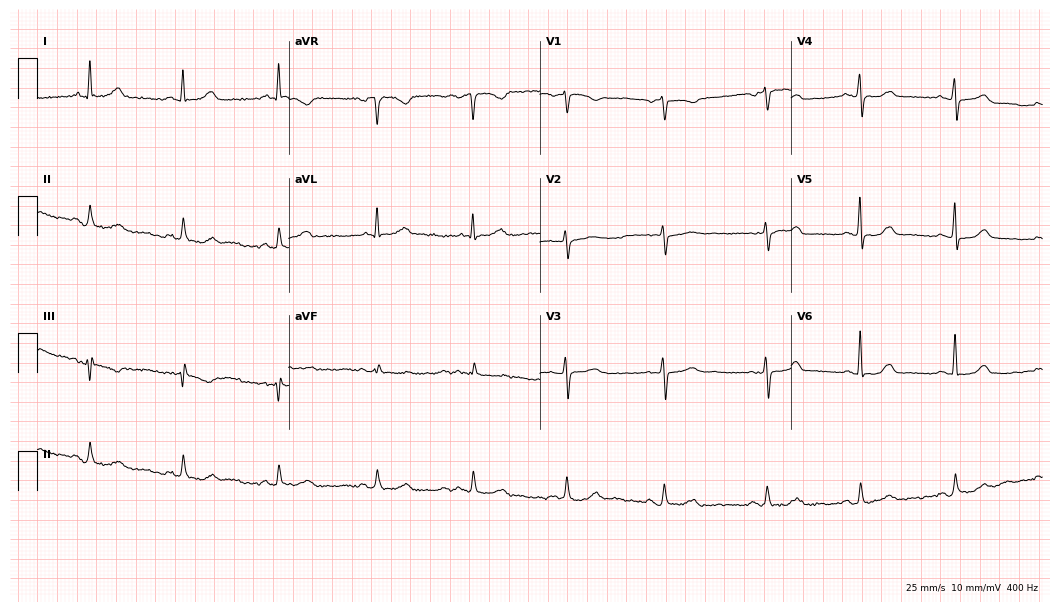
12-lead ECG from a 75-year-old female patient. No first-degree AV block, right bundle branch block, left bundle branch block, sinus bradycardia, atrial fibrillation or sinus tachycardia recorded for this tracing.